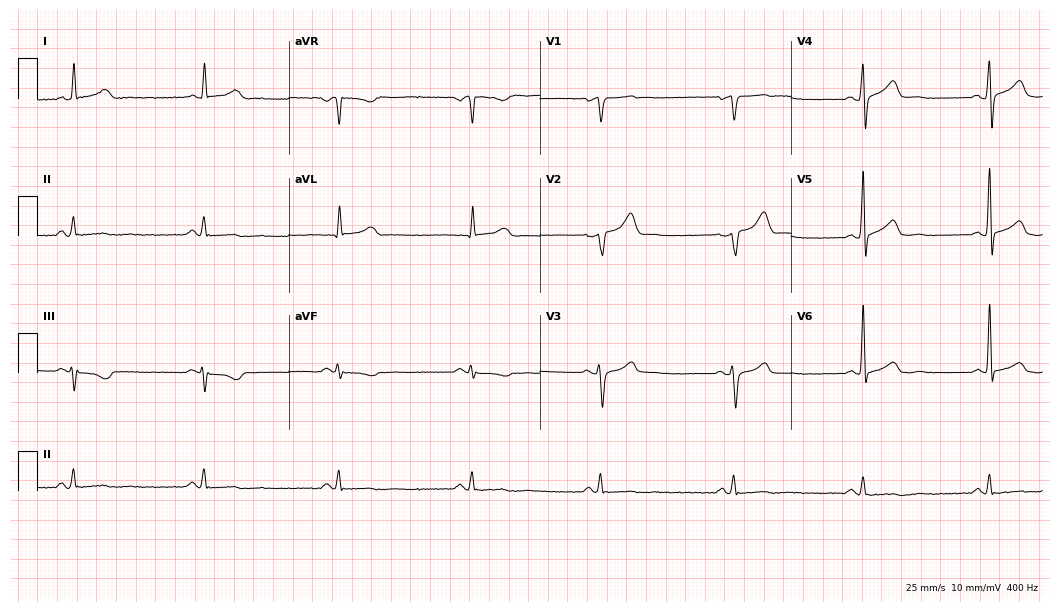
12-lead ECG from a 62-year-old man. Shows sinus bradycardia (a sinus rate of 50 beats per minute or less).